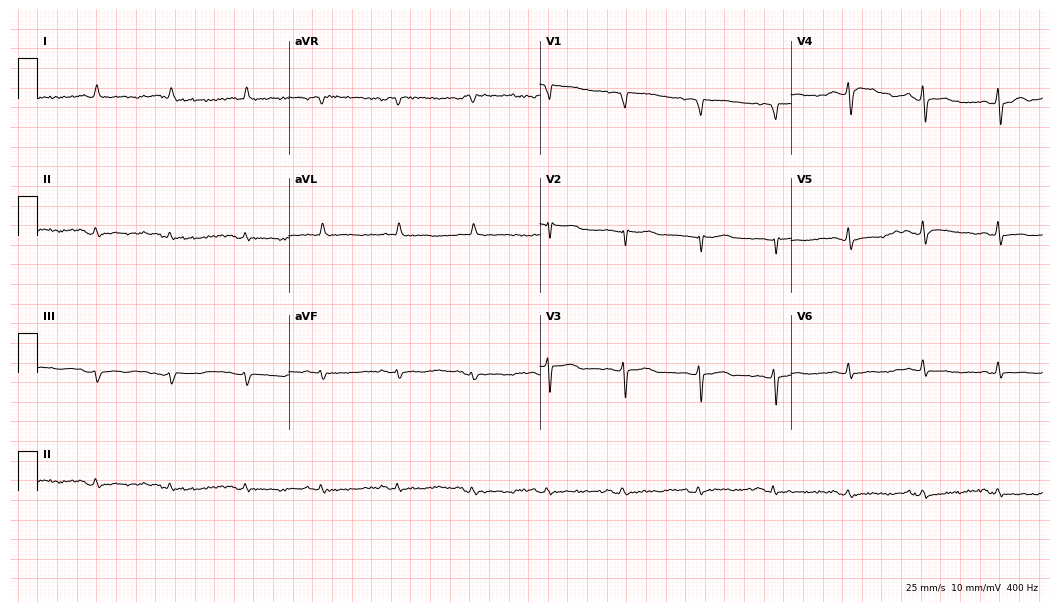
Standard 12-lead ECG recorded from a female, 40 years old (10.2-second recording at 400 Hz). None of these six findings is recorded: first-degree AV block, right bundle branch block, left bundle branch block, sinus bradycardia, atrial fibrillation, sinus tachycardia.